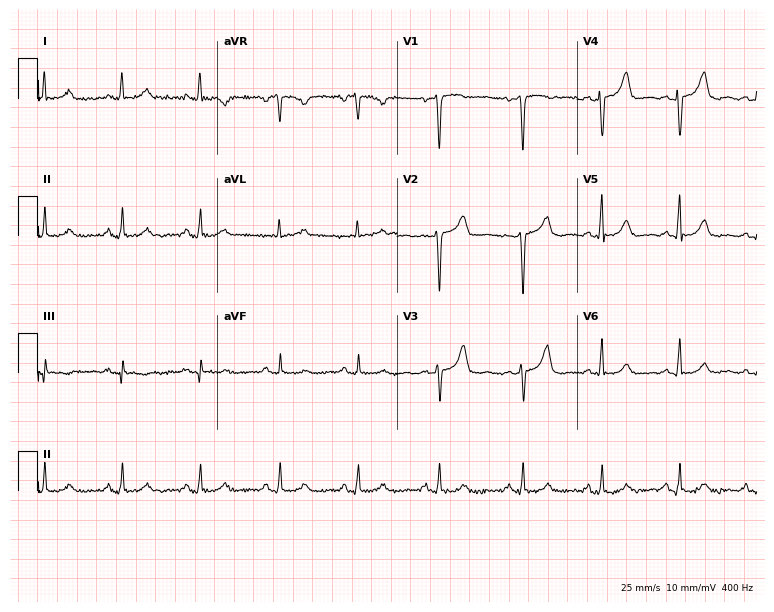
12-lead ECG from a woman, 45 years old. Recorded interpretation: within normal limits.